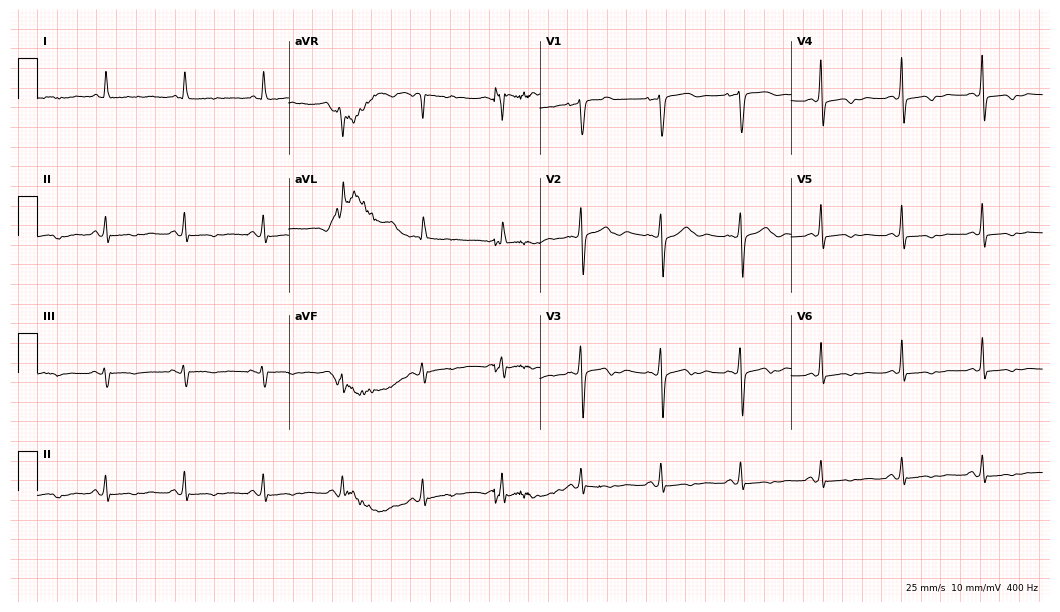
Standard 12-lead ECG recorded from a female patient, 48 years old. None of these six findings is recorded: first-degree AV block, right bundle branch block, left bundle branch block, sinus bradycardia, atrial fibrillation, sinus tachycardia. Only these six findings were labelled.